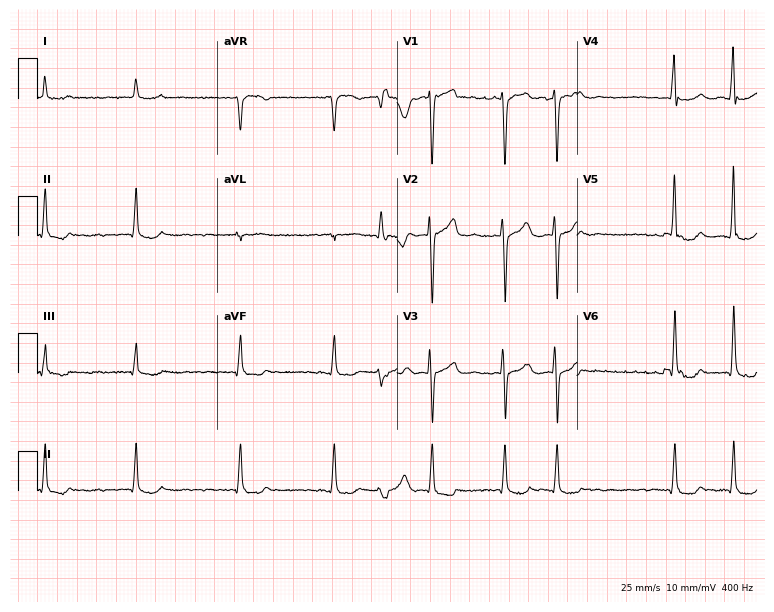
Electrocardiogram (7.3-second recording at 400 Hz), a male patient, 67 years old. Interpretation includes atrial fibrillation.